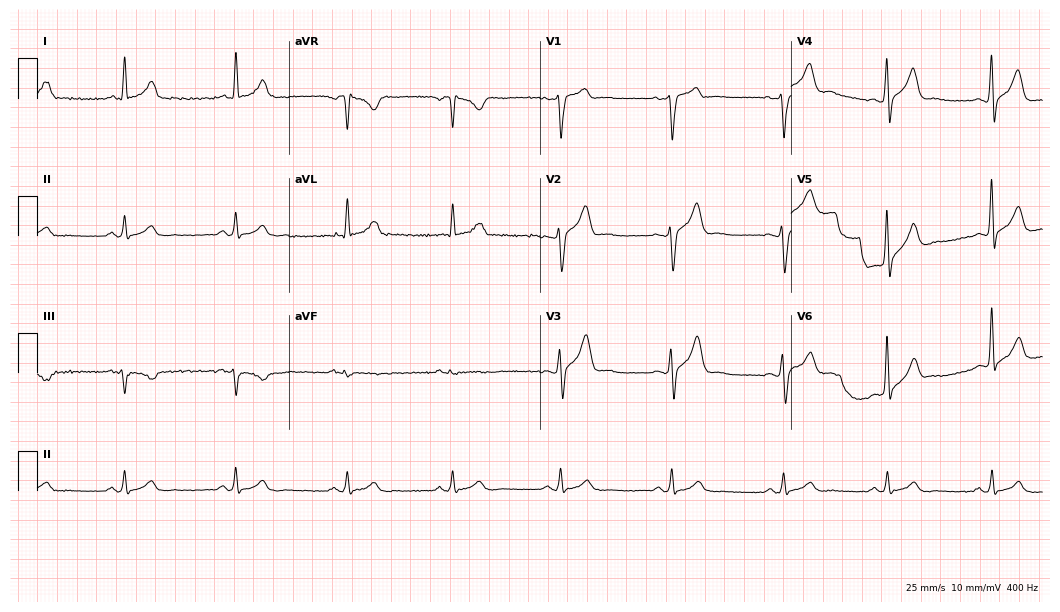
Standard 12-lead ECG recorded from a male, 50 years old (10.2-second recording at 400 Hz). Read as a normal ECG.